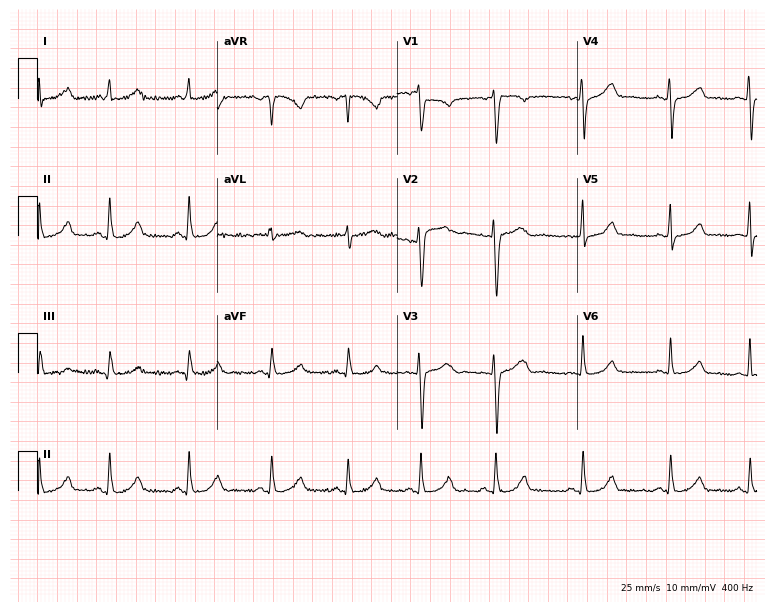
Standard 12-lead ECG recorded from a female, 36 years old (7.3-second recording at 400 Hz). Read as a normal ECG.